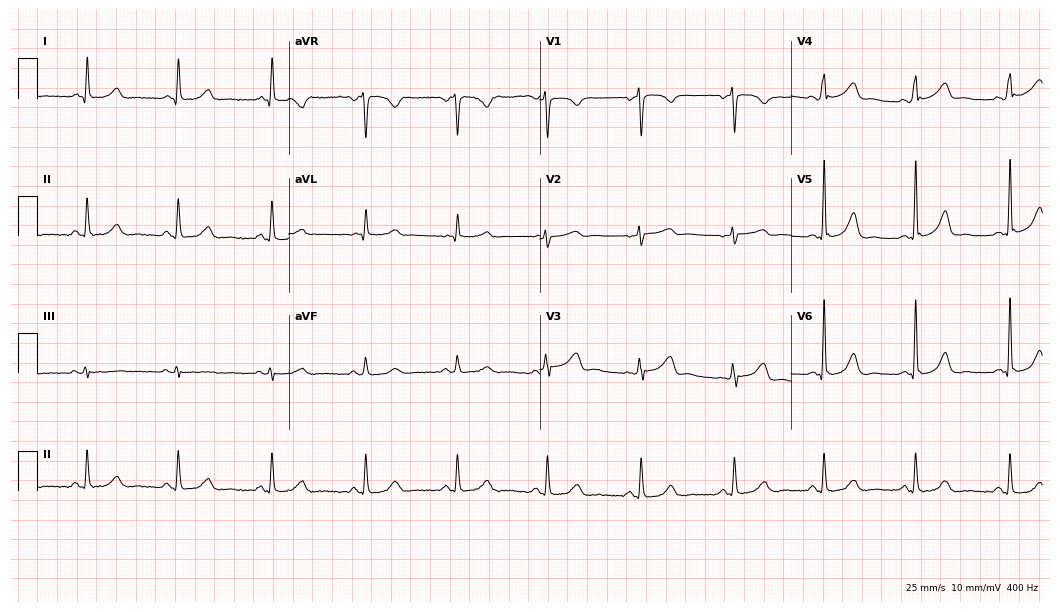
12-lead ECG from a female patient, 46 years old (10.2-second recording at 400 Hz). Recorded interpretation: within normal limits.